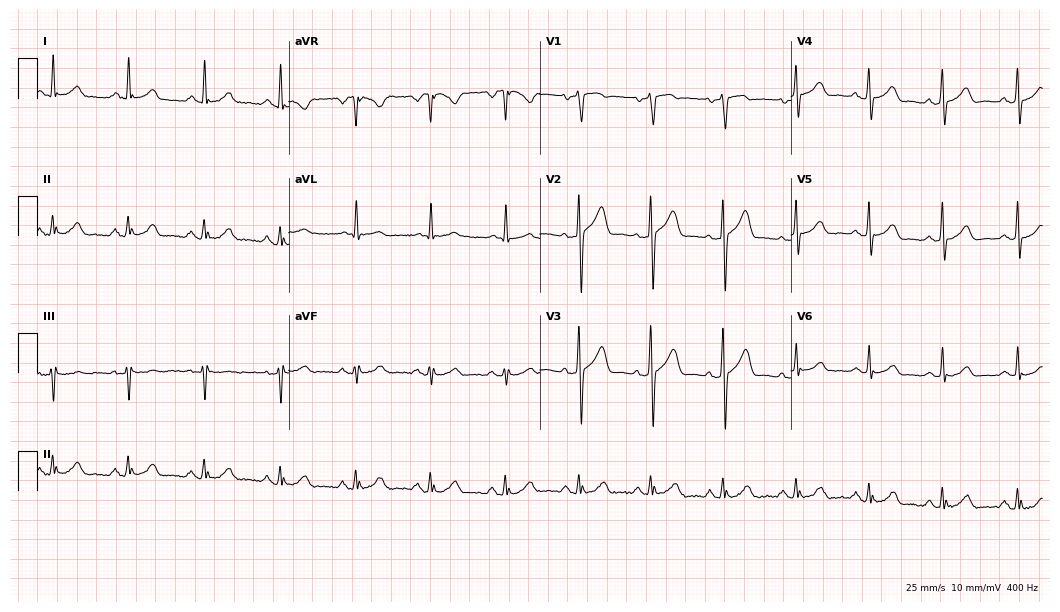
ECG (10.2-second recording at 400 Hz) — a 42-year-old male patient. Labelled as a normal ECG.